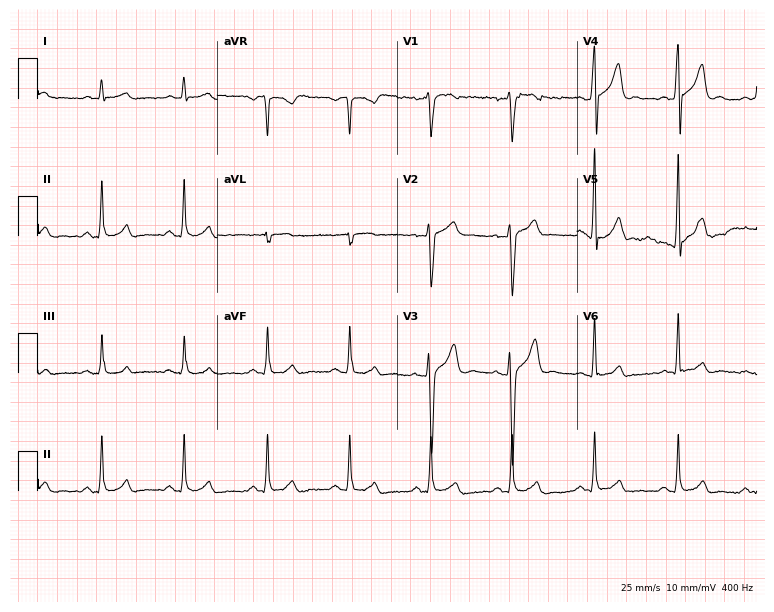
Standard 12-lead ECG recorded from a man, 43 years old (7.3-second recording at 400 Hz). Read as a normal ECG.